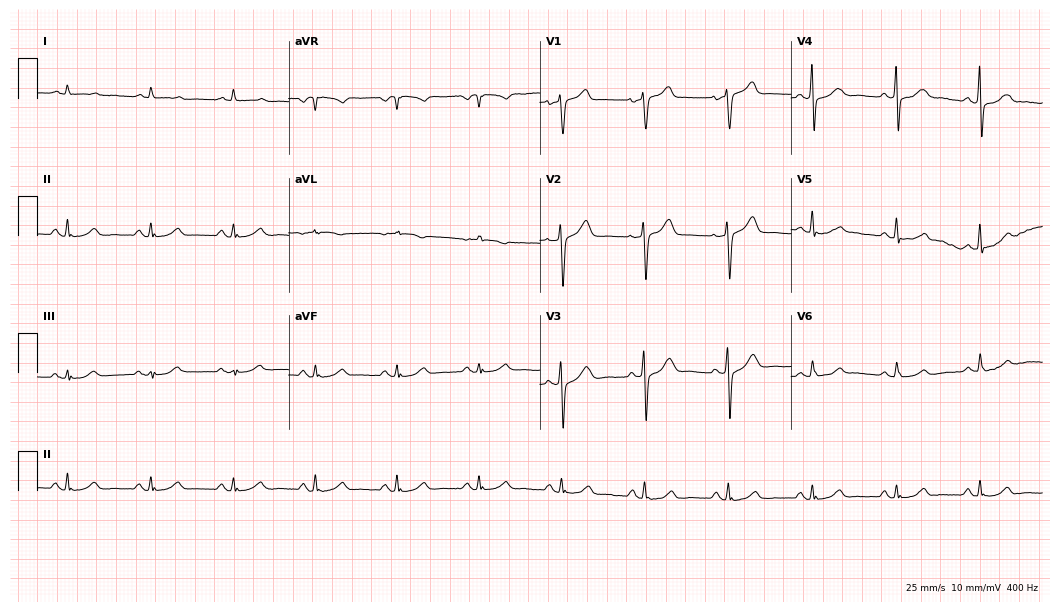
Electrocardiogram (10.2-second recording at 400 Hz), a woman, 57 years old. Of the six screened findings (first-degree AV block, right bundle branch block, left bundle branch block, sinus bradycardia, atrial fibrillation, sinus tachycardia), none is recorded.